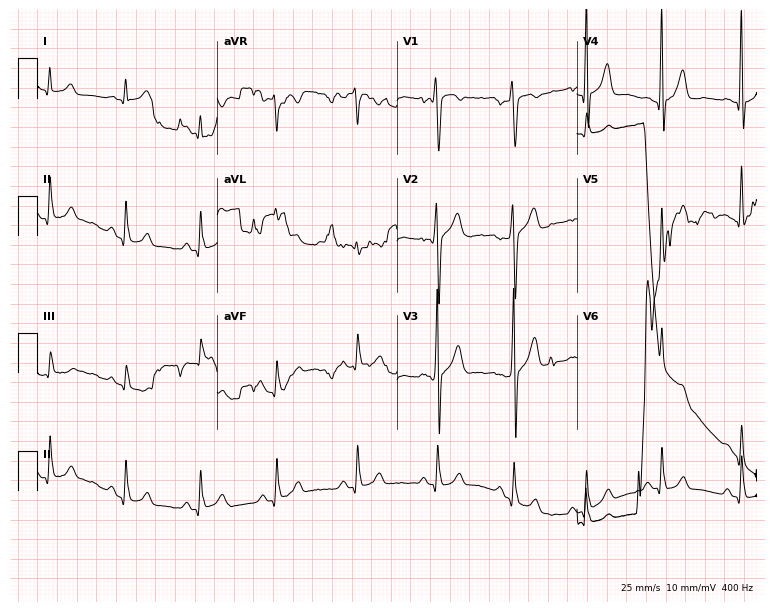
ECG (7.3-second recording at 400 Hz) — a 22-year-old male. Screened for six findings — first-degree AV block, right bundle branch block (RBBB), left bundle branch block (LBBB), sinus bradycardia, atrial fibrillation (AF), sinus tachycardia — none is recorded.